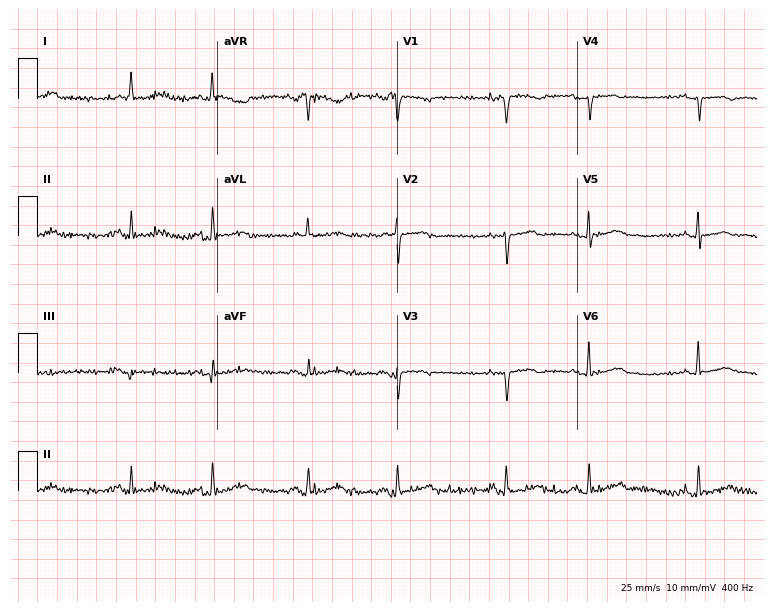
ECG (7.3-second recording at 400 Hz) — a 72-year-old female. Labelled as a normal ECG.